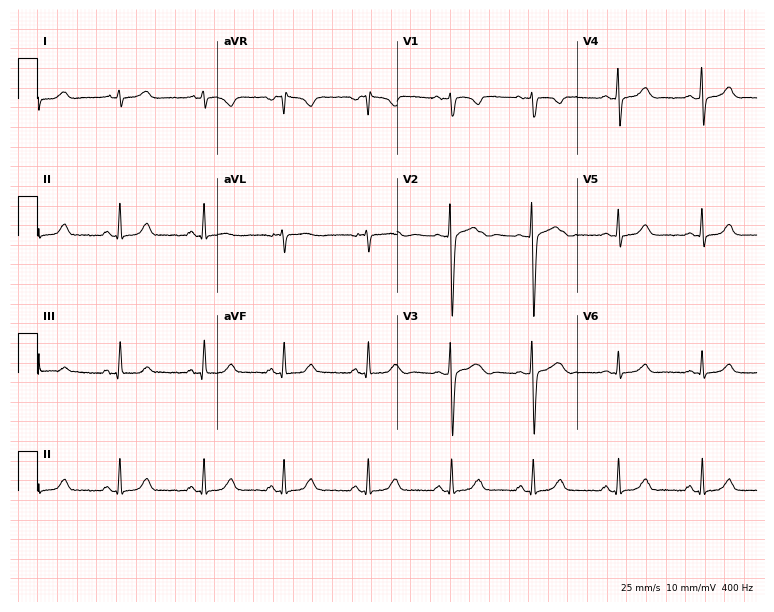
12-lead ECG (7.3-second recording at 400 Hz) from a 24-year-old female. Labelled as a normal ECG.